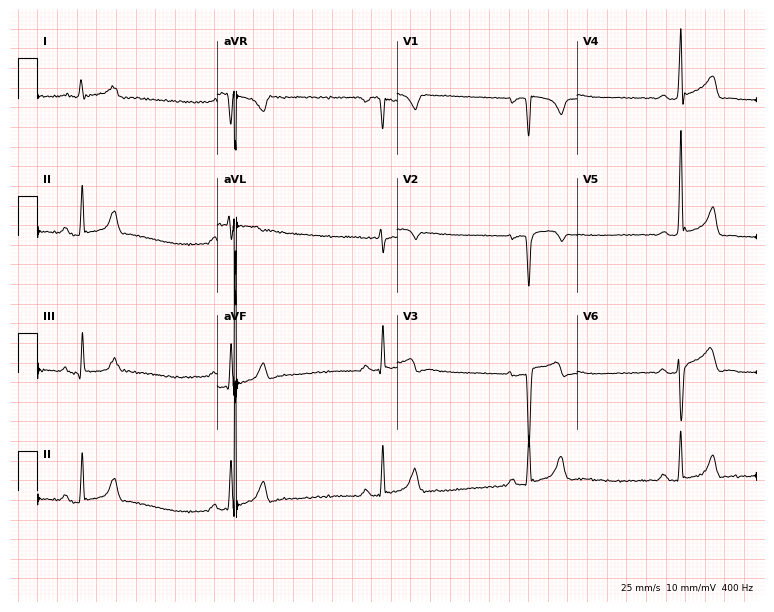
Electrocardiogram (7.3-second recording at 400 Hz), a male, 37 years old. Interpretation includes sinus bradycardia (a sinus rate of 50 beats per minute or less).